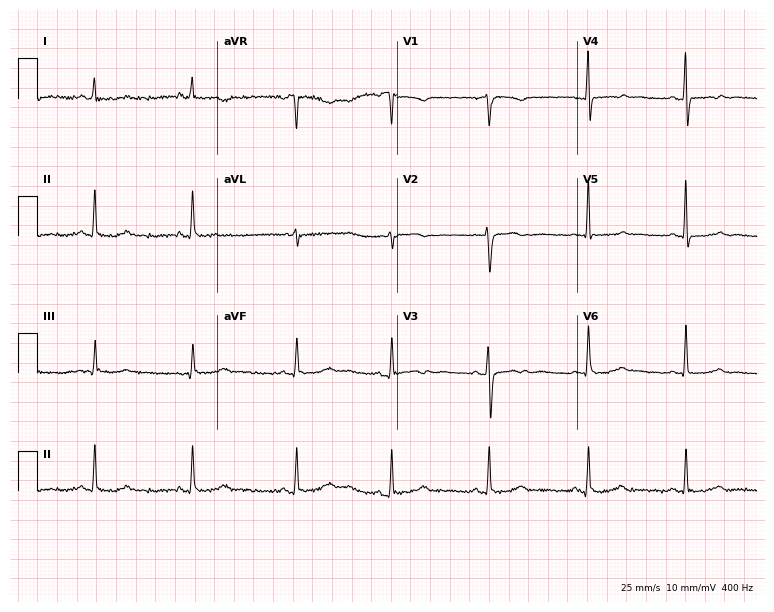
Resting 12-lead electrocardiogram (7.3-second recording at 400 Hz). Patient: a woman, 52 years old. None of these six findings is recorded: first-degree AV block, right bundle branch block, left bundle branch block, sinus bradycardia, atrial fibrillation, sinus tachycardia. Only these six findings were labelled.